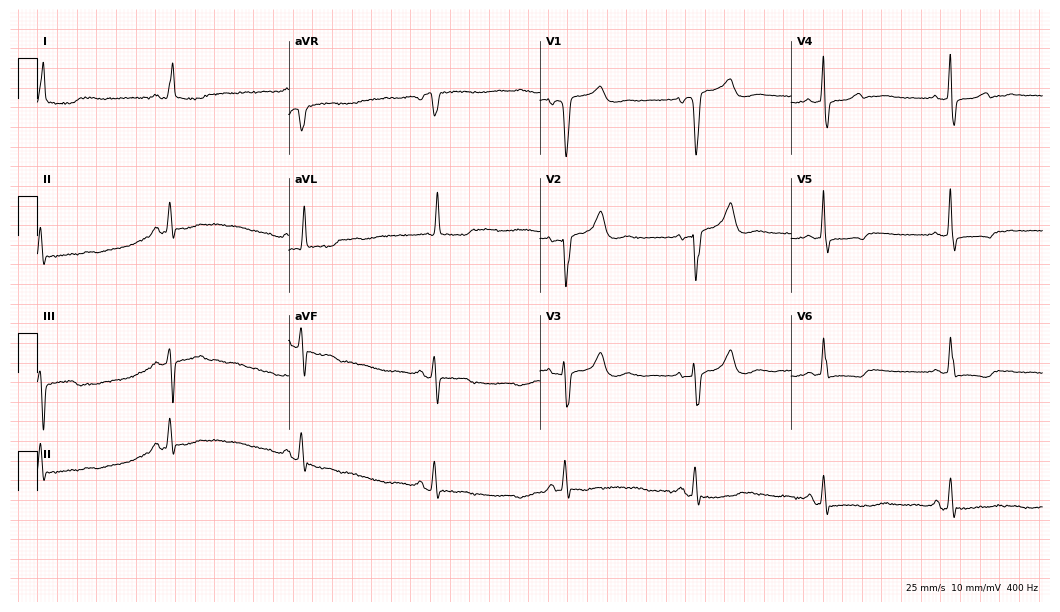
Standard 12-lead ECG recorded from a woman, 80 years old (10.2-second recording at 400 Hz). The tracing shows sinus bradycardia (a sinus rate of 50 beats per minute or less).